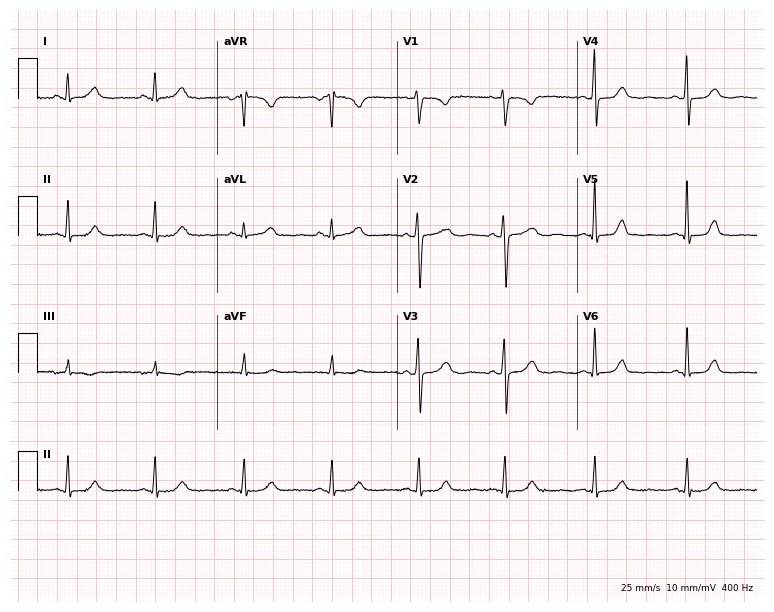
ECG (7.3-second recording at 400 Hz) — a 49-year-old female. Labelled as a normal ECG.